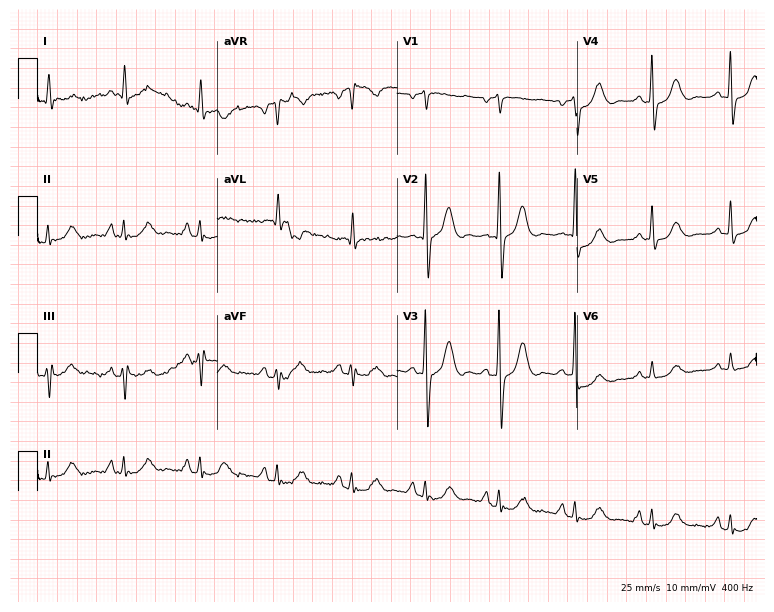
ECG — a 72-year-old female. Screened for six findings — first-degree AV block, right bundle branch block (RBBB), left bundle branch block (LBBB), sinus bradycardia, atrial fibrillation (AF), sinus tachycardia — none is recorded. Findings outside these six are not listed.